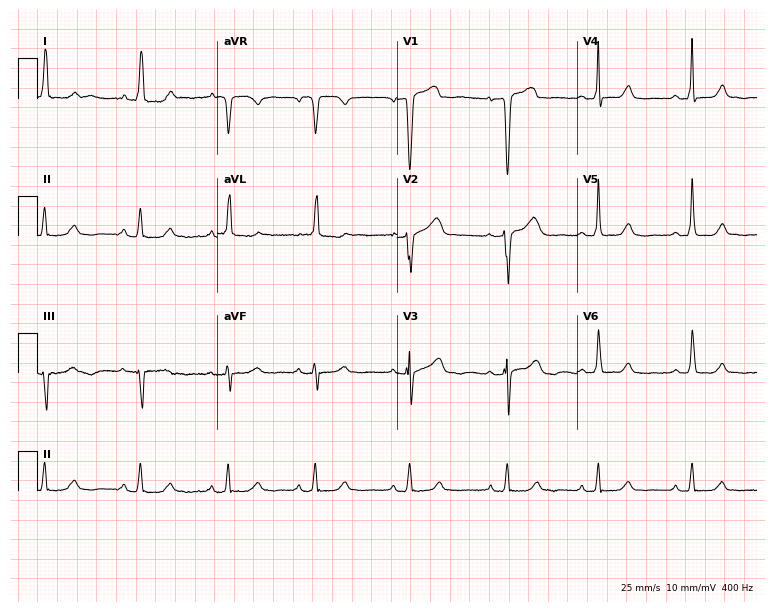
Resting 12-lead electrocardiogram (7.3-second recording at 400 Hz). Patient: a female, 64 years old. Read as a normal ECG.